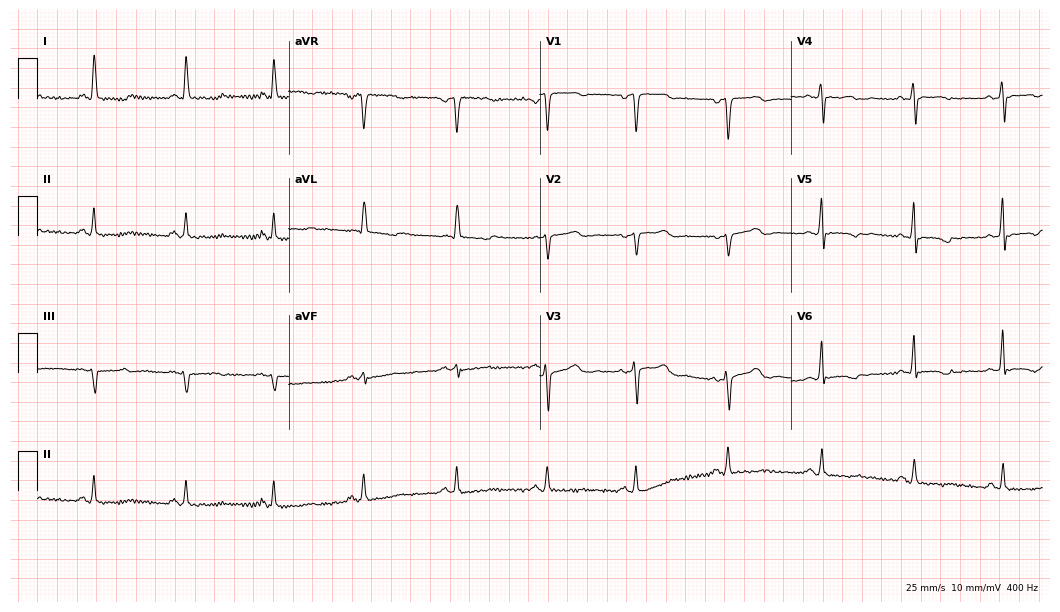
Standard 12-lead ECG recorded from a 59-year-old woman. None of these six findings is recorded: first-degree AV block, right bundle branch block (RBBB), left bundle branch block (LBBB), sinus bradycardia, atrial fibrillation (AF), sinus tachycardia.